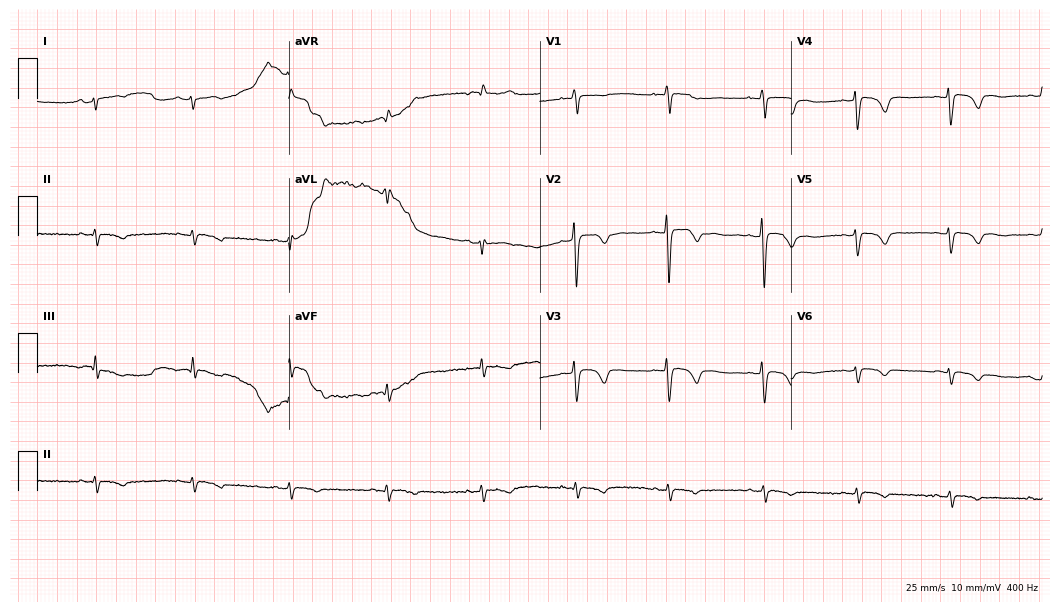
ECG (10.2-second recording at 400 Hz) — a female patient, 40 years old. Screened for six findings — first-degree AV block, right bundle branch block, left bundle branch block, sinus bradycardia, atrial fibrillation, sinus tachycardia — none is recorded. Other findings, if any, are not listed.